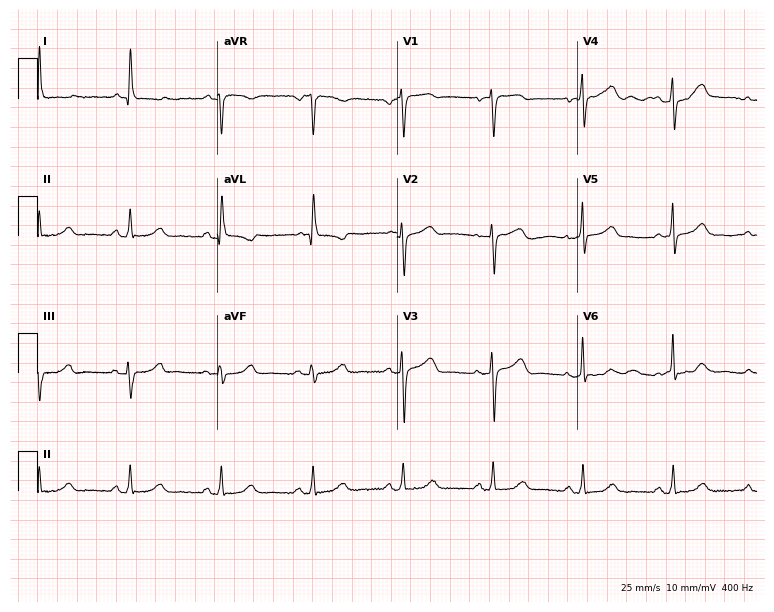
Electrocardiogram, a female patient, 85 years old. Of the six screened findings (first-degree AV block, right bundle branch block, left bundle branch block, sinus bradycardia, atrial fibrillation, sinus tachycardia), none is recorded.